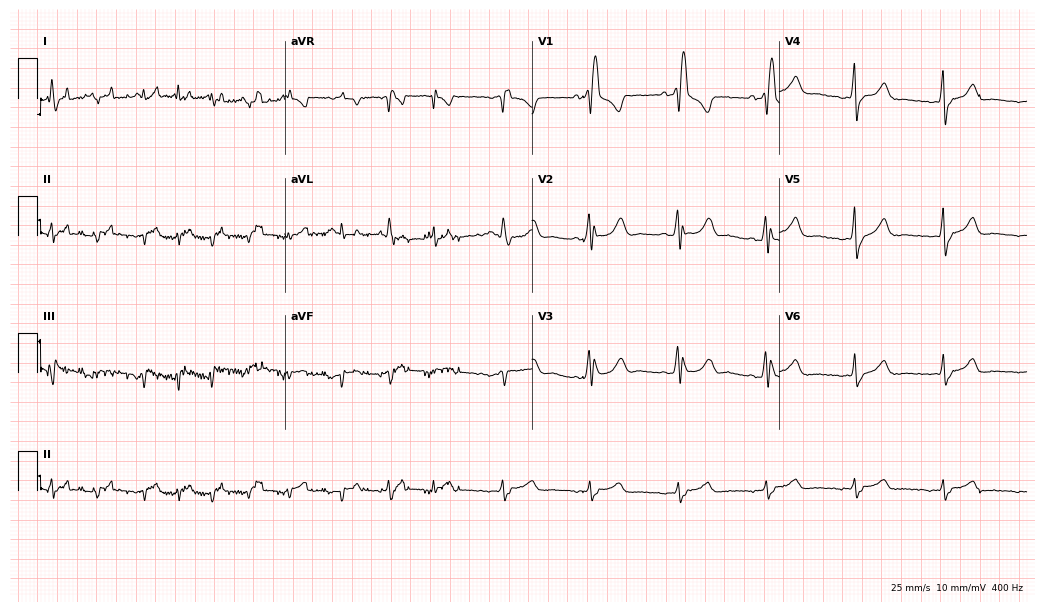
Resting 12-lead electrocardiogram (10.1-second recording at 400 Hz). Patient: a 70-year-old woman. None of these six findings is recorded: first-degree AV block, right bundle branch block (RBBB), left bundle branch block (LBBB), sinus bradycardia, atrial fibrillation (AF), sinus tachycardia.